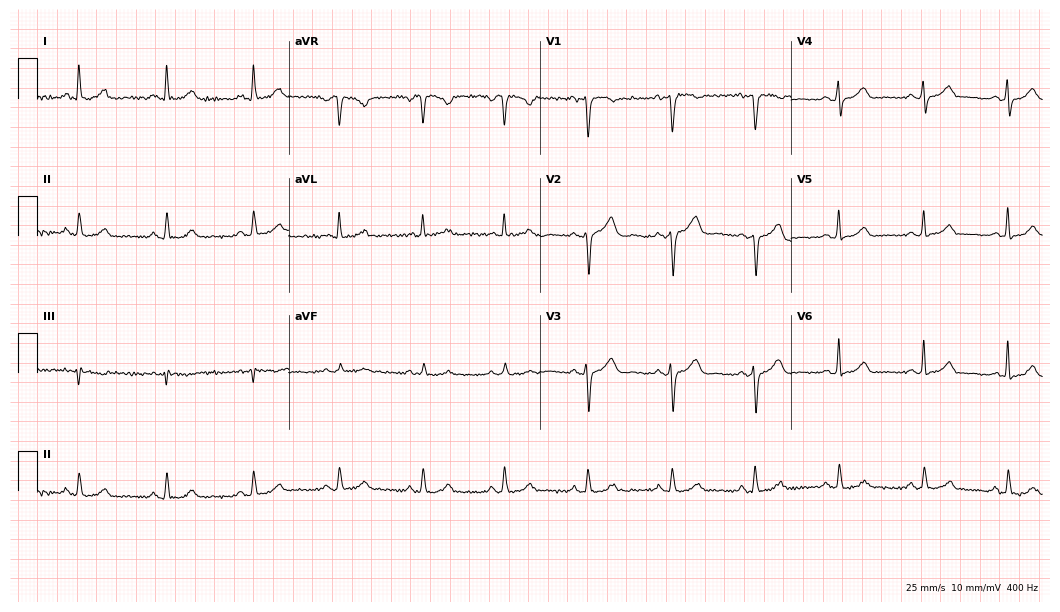
Electrocardiogram (10.2-second recording at 400 Hz), a female, 39 years old. Overall reading on record: normal ECG.